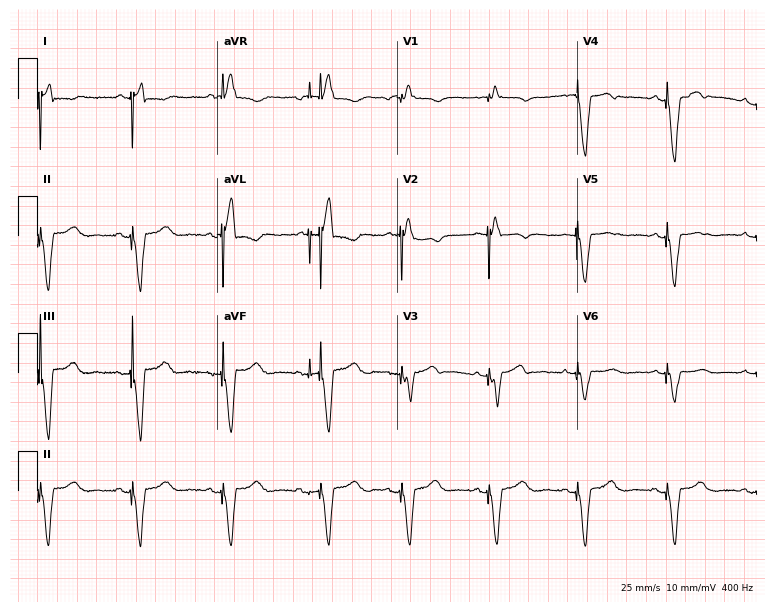
12-lead ECG from a 52-year-old female patient. No first-degree AV block, right bundle branch block (RBBB), left bundle branch block (LBBB), sinus bradycardia, atrial fibrillation (AF) or sinus tachycardia recorded for this tracing. Other findings, if any, are not listed.